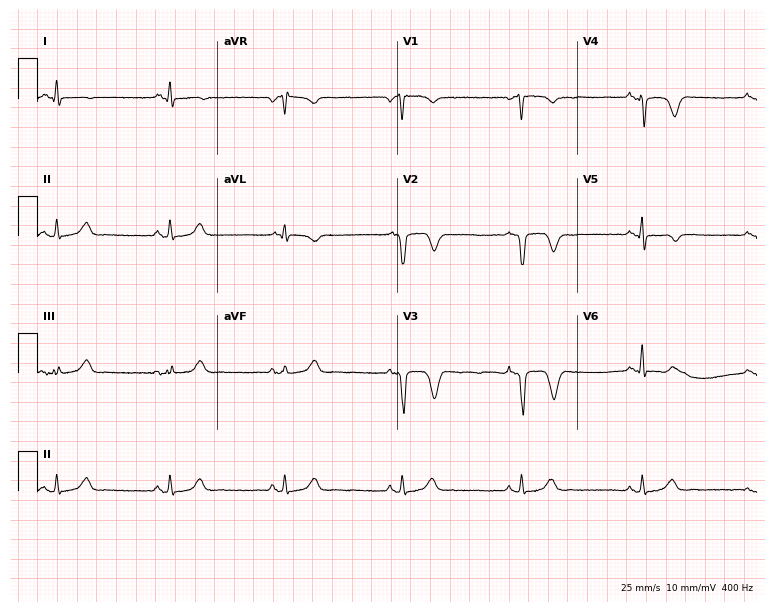
12-lead ECG (7.3-second recording at 400 Hz) from a 57-year-old male patient. Screened for six findings — first-degree AV block, right bundle branch block, left bundle branch block, sinus bradycardia, atrial fibrillation, sinus tachycardia — none is recorded.